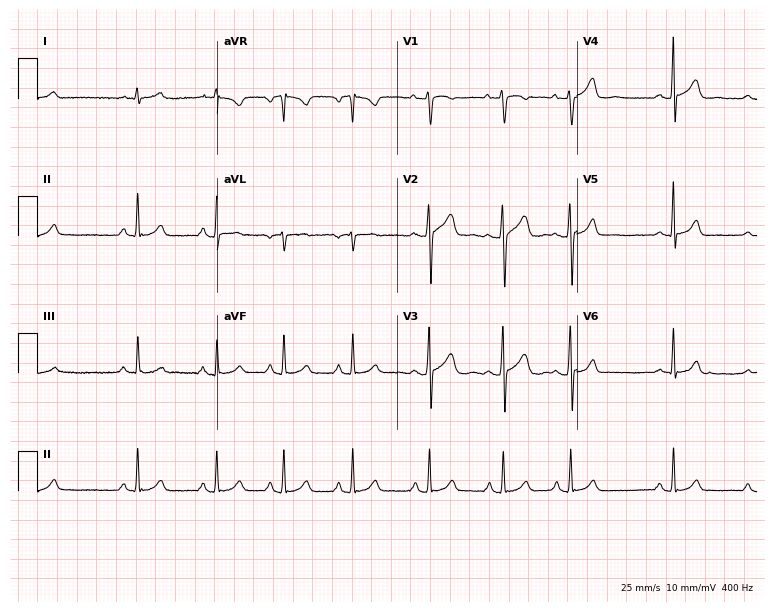
Electrocardiogram (7.3-second recording at 400 Hz), a 17-year-old female. Overall reading on record: normal ECG.